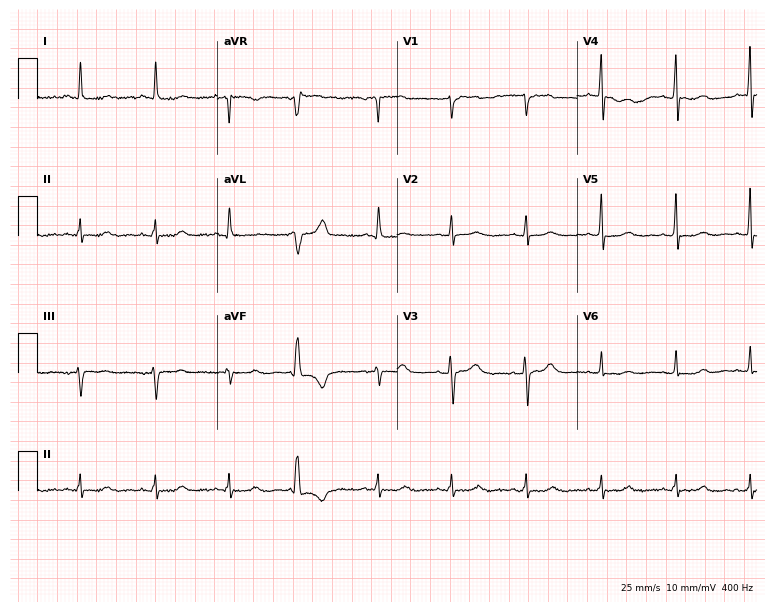
ECG — a female patient, 81 years old. Screened for six findings — first-degree AV block, right bundle branch block (RBBB), left bundle branch block (LBBB), sinus bradycardia, atrial fibrillation (AF), sinus tachycardia — none is recorded.